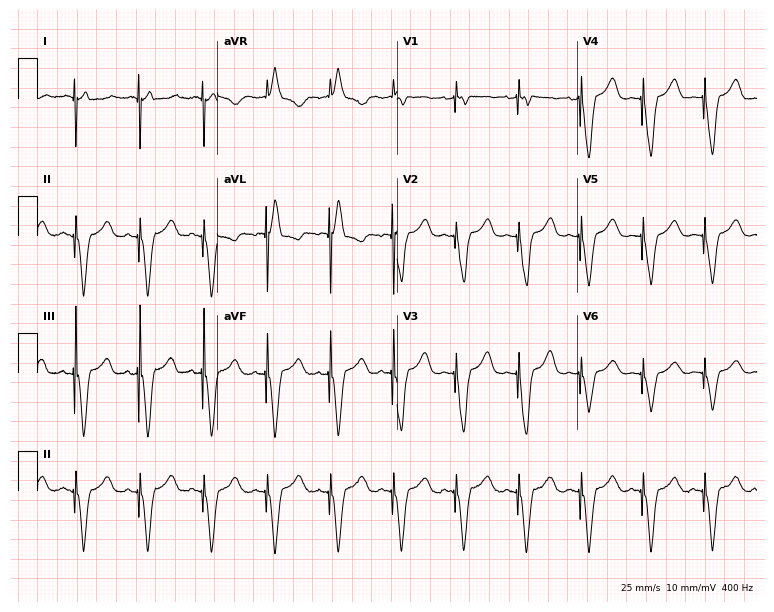
12-lead ECG from an 82-year-old woman. Screened for six findings — first-degree AV block, right bundle branch block, left bundle branch block, sinus bradycardia, atrial fibrillation, sinus tachycardia — none is recorded. Other findings, if any, are not listed.